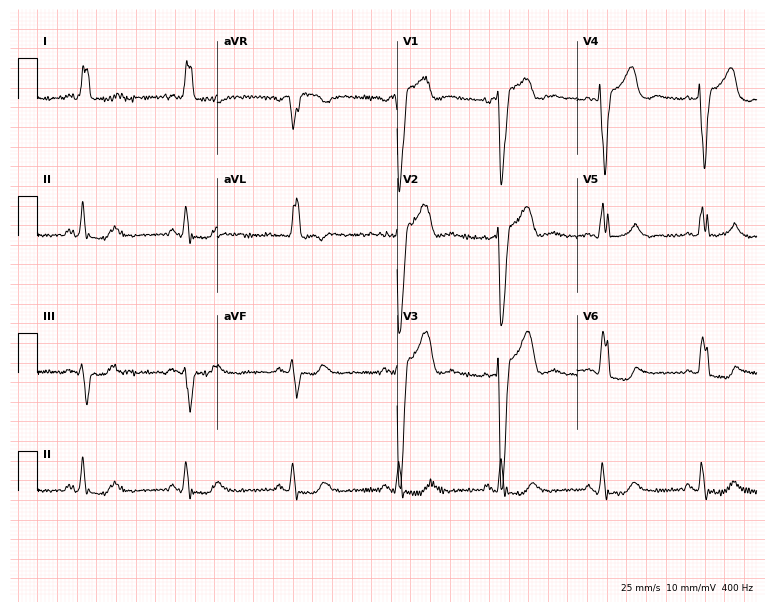
Electrocardiogram, a 64-year-old female. Interpretation includes left bundle branch block (LBBB).